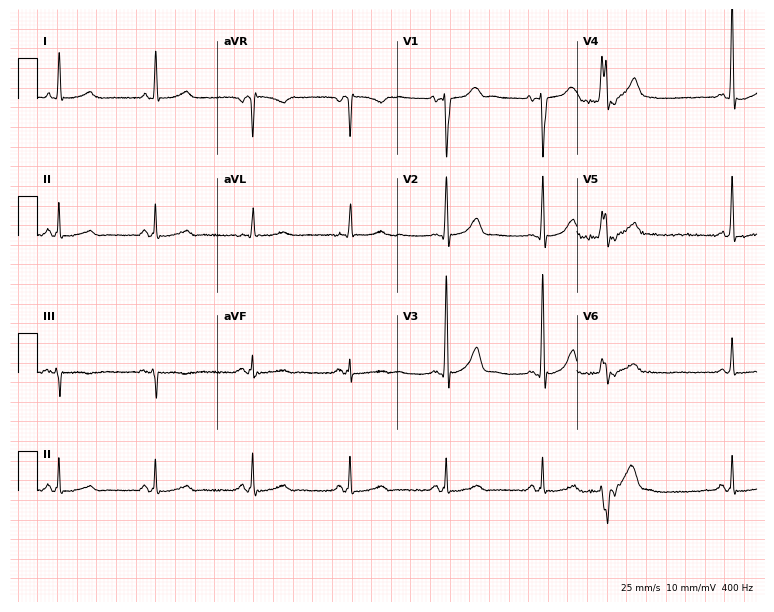
Resting 12-lead electrocardiogram (7.3-second recording at 400 Hz). Patient: a 75-year-old male. Read as a normal ECG.